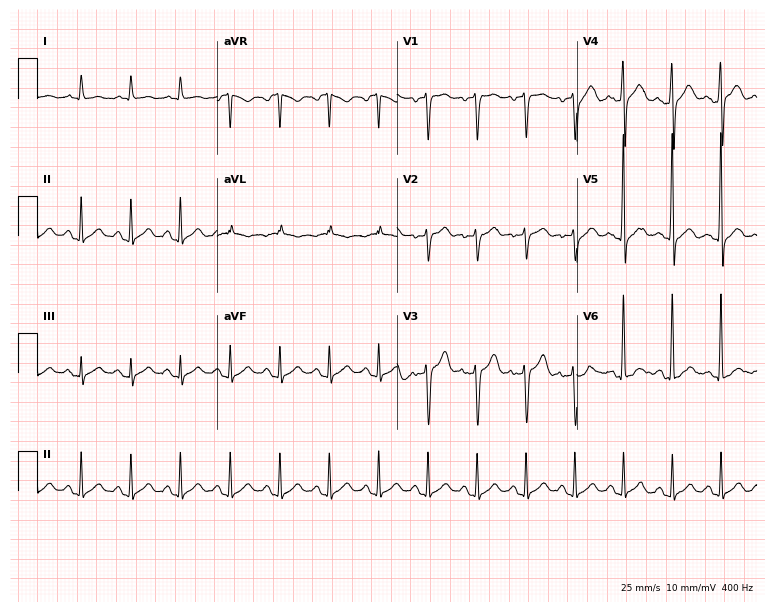
12-lead ECG from a 19-year-old male. Findings include sinus tachycardia (a sinus rate of 100 beats per minute or more).